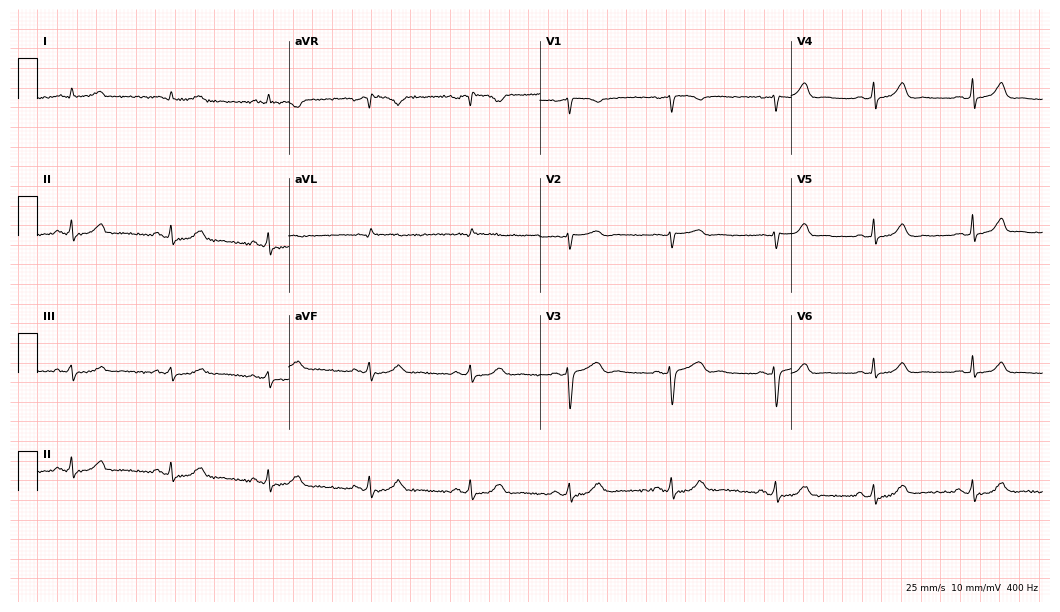
Standard 12-lead ECG recorded from a 50-year-old female patient (10.2-second recording at 400 Hz). Read as a normal ECG.